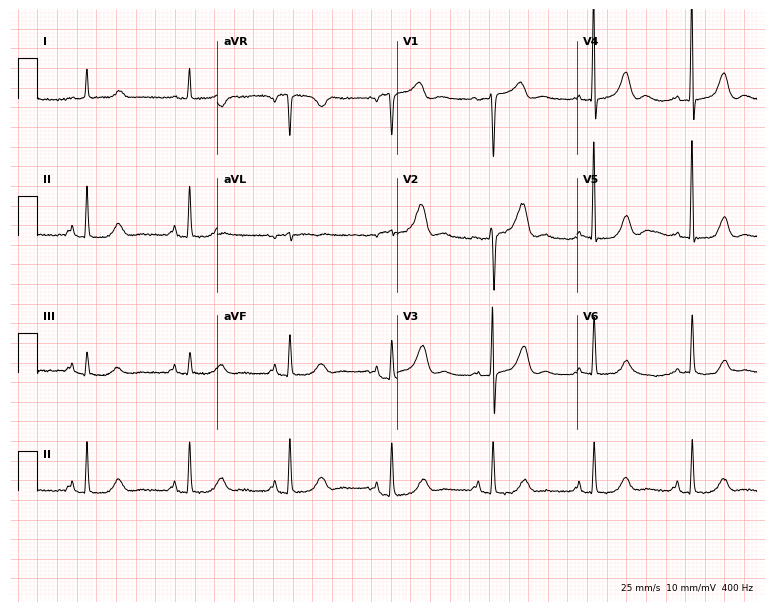
Electrocardiogram, a 74-year-old female. Of the six screened findings (first-degree AV block, right bundle branch block, left bundle branch block, sinus bradycardia, atrial fibrillation, sinus tachycardia), none is recorded. Other findings, if any, are not listed.